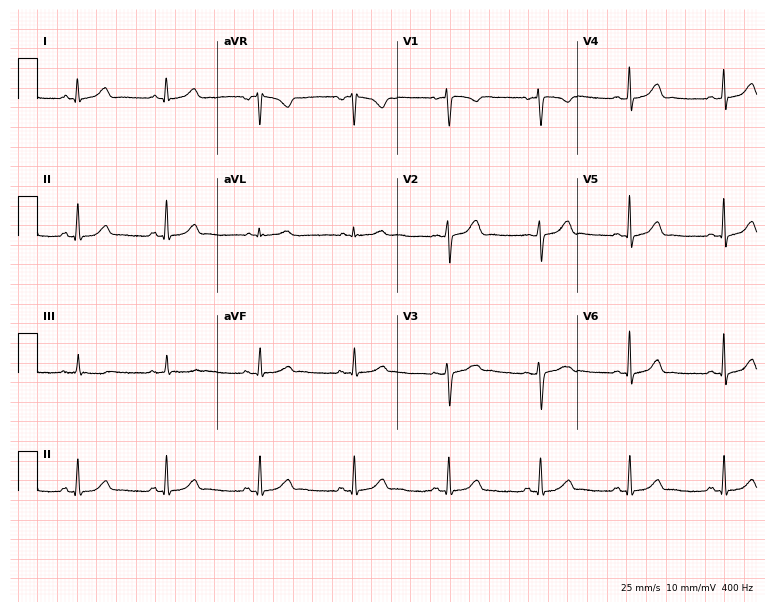
12-lead ECG (7.3-second recording at 400 Hz) from a 24-year-old woman. Labelled as a normal ECG.